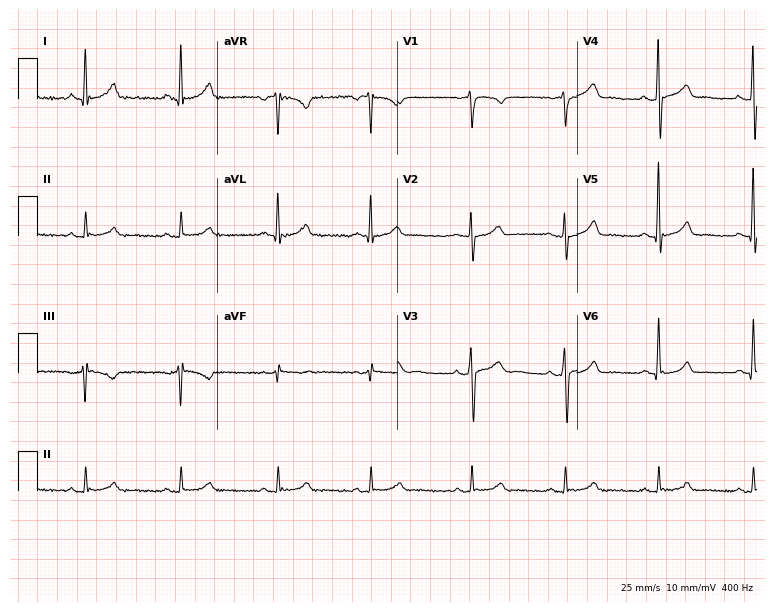
ECG — a male patient, 41 years old. Labelled as a normal ECG.